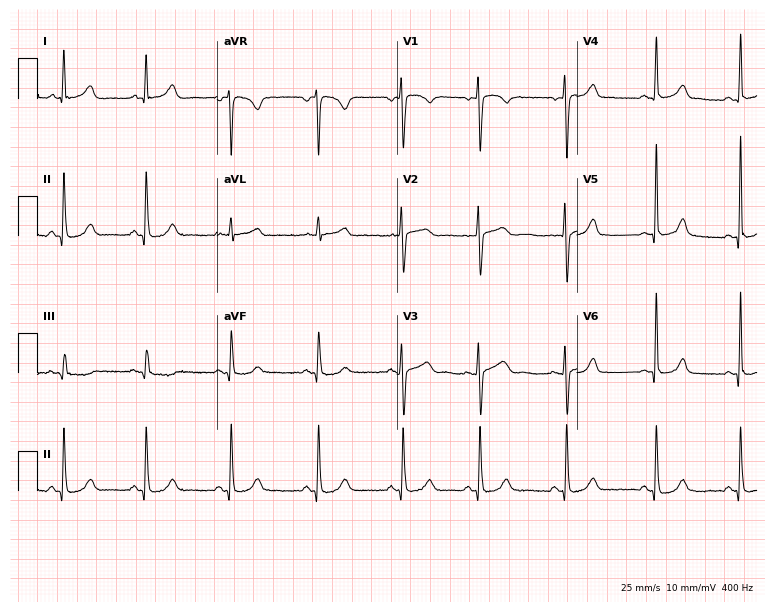
12-lead ECG from a female, 33 years old. Labelled as a normal ECG.